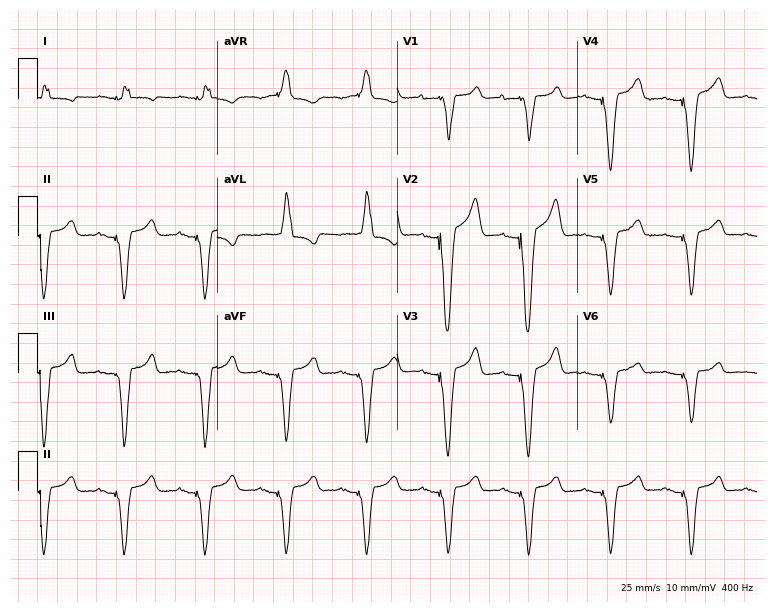
ECG — a woman, 80 years old. Screened for six findings — first-degree AV block, right bundle branch block, left bundle branch block, sinus bradycardia, atrial fibrillation, sinus tachycardia — none is recorded. Findings outside these six are not listed.